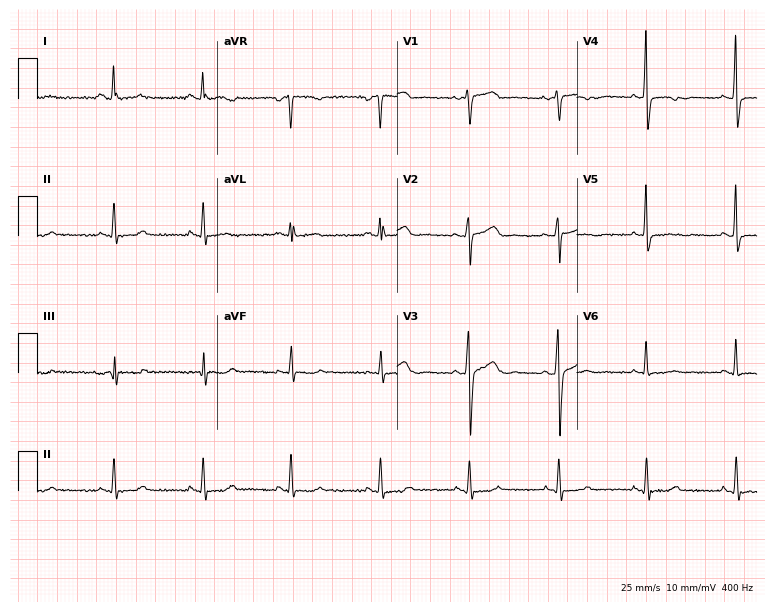
Electrocardiogram (7.3-second recording at 400 Hz), a 42-year-old female. Of the six screened findings (first-degree AV block, right bundle branch block, left bundle branch block, sinus bradycardia, atrial fibrillation, sinus tachycardia), none is recorded. Other findings, if any, are not listed.